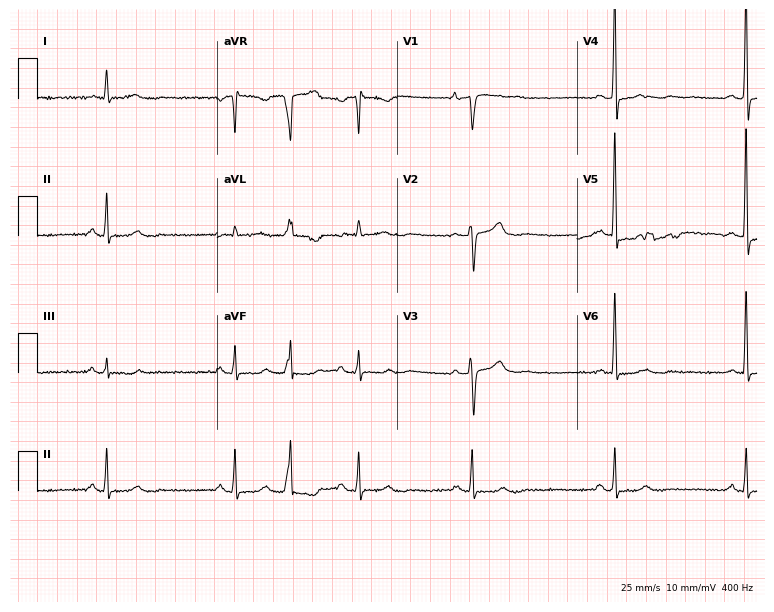
12-lead ECG (7.3-second recording at 400 Hz) from a 62-year-old woman. Findings include sinus bradycardia (a sinus rate of 50 beats per minute or less).